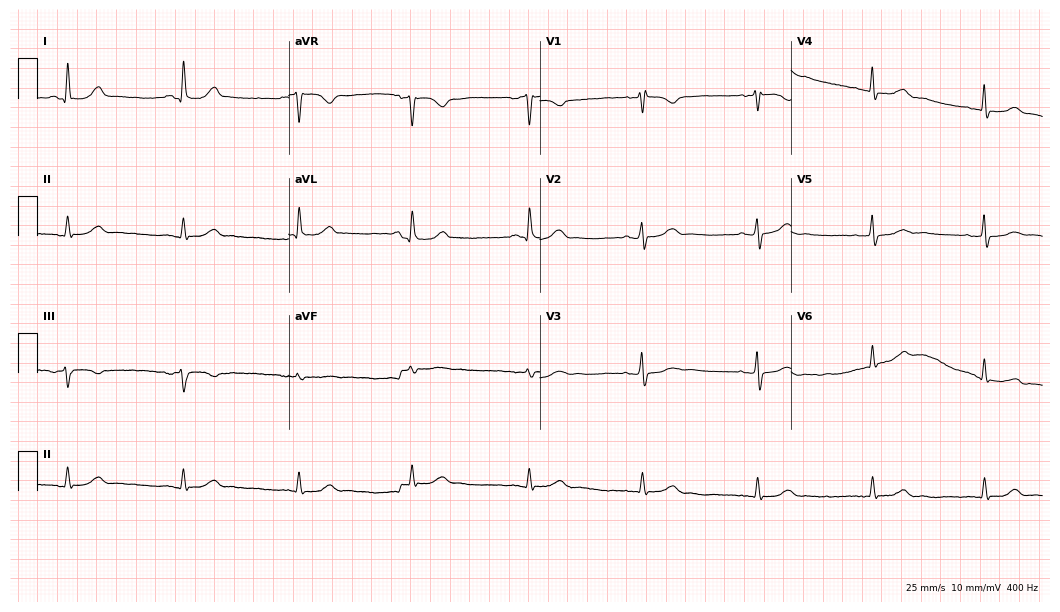
Electrocardiogram, a 68-year-old woman. Of the six screened findings (first-degree AV block, right bundle branch block, left bundle branch block, sinus bradycardia, atrial fibrillation, sinus tachycardia), none is recorded. Findings outside these six are not listed.